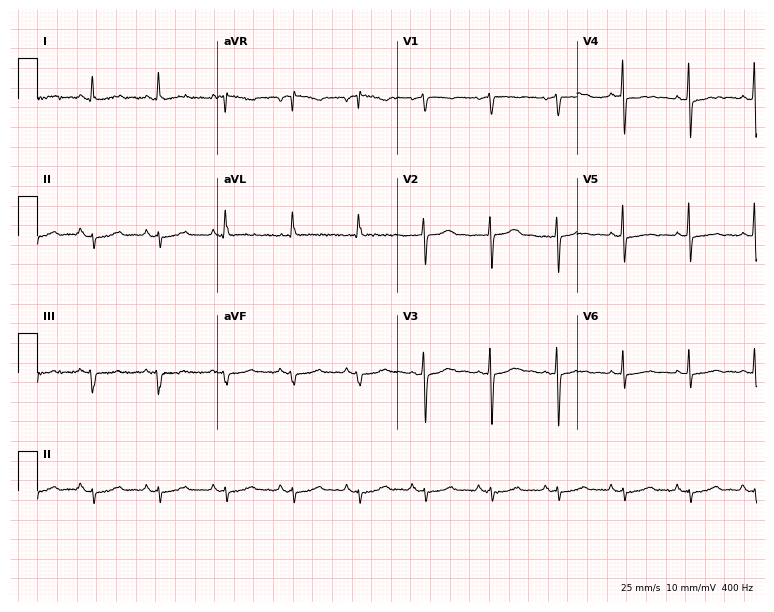
Electrocardiogram, a 75-year-old female. Of the six screened findings (first-degree AV block, right bundle branch block, left bundle branch block, sinus bradycardia, atrial fibrillation, sinus tachycardia), none is recorded.